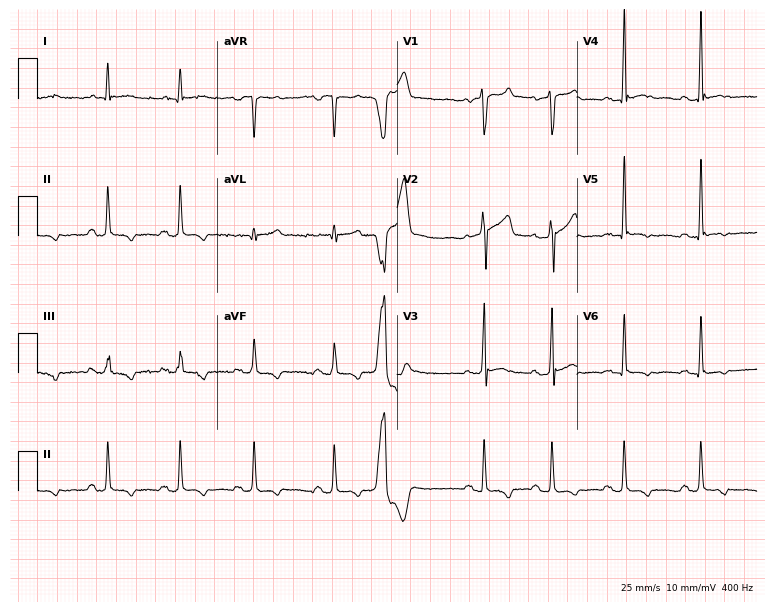
Standard 12-lead ECG recorded from a man, 57 years old (7.3-second recording at 400 Hz). None of these six findings is recorded: first-degree AV block, right bundle branch block (RBBB), left bundle branch block (LBBB), sinus bradycardia, atrial fibrillation (AF), sinus tachycardia.